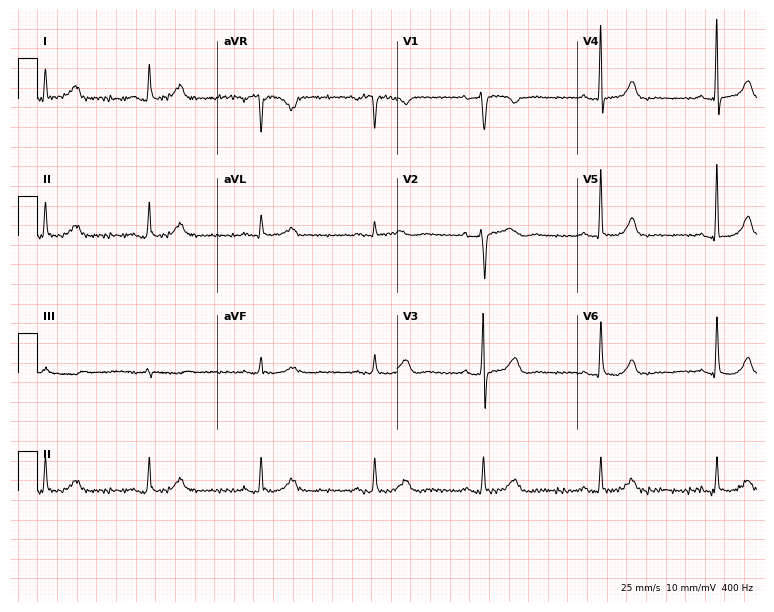
12-lead ECG from a woman, 60 years old. Recorded interpretation: within normal limits.